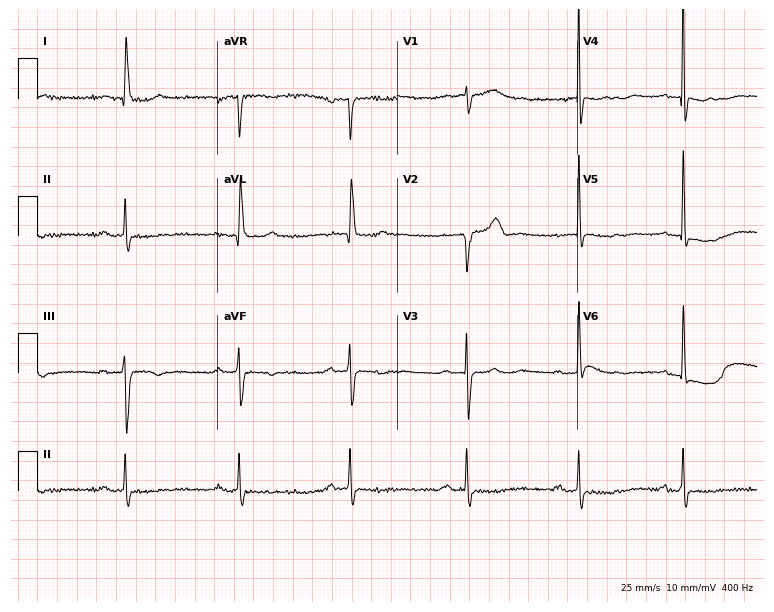
12-lead ECG from an 81-year-old female patient (7.3-second recording at 400 Hz). Shows first-degree AV block.